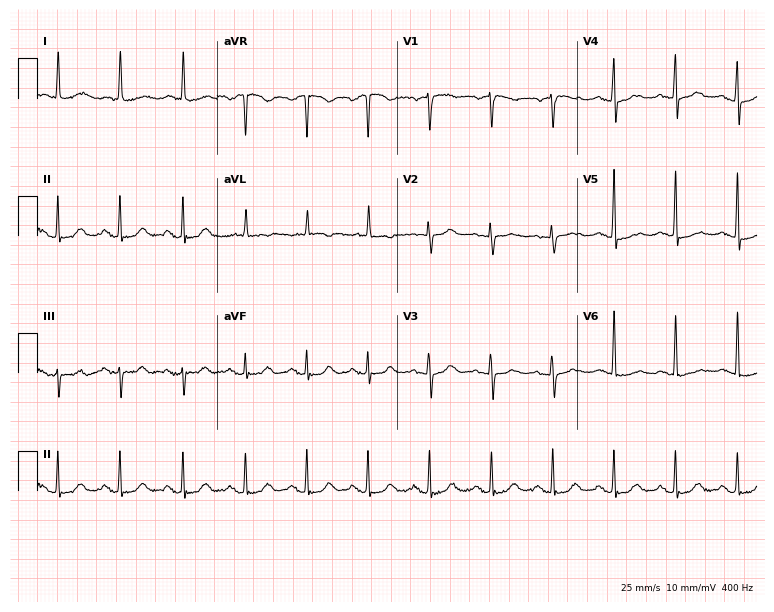
Electrocardiogram, a female, 84 years old. Of the six screened findings (first-degree AV block, right bundle branch block, left bundle branch block, sinus bradycardia, atrial fibrillation, sinus tachycardia), none is recorded. Findings outside these six are not listed.